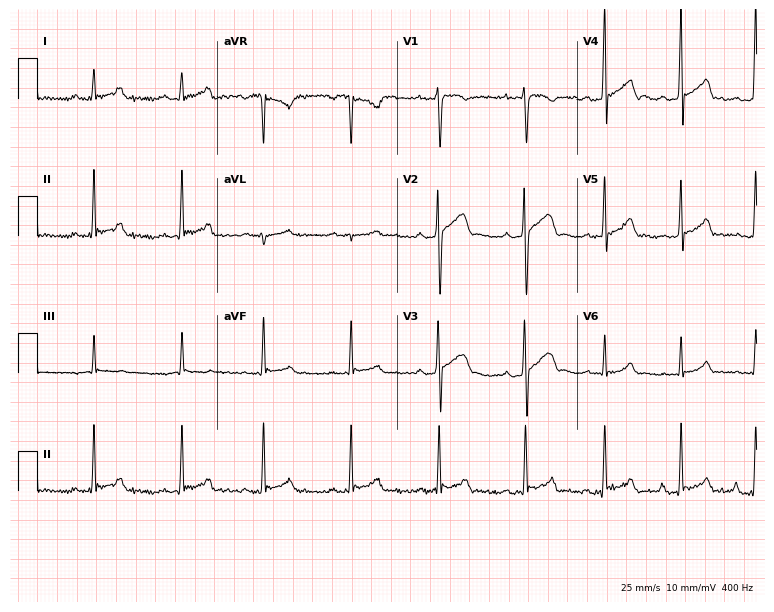
12-lead ECG from an 18-year-old male. Shows first-degree AV block.